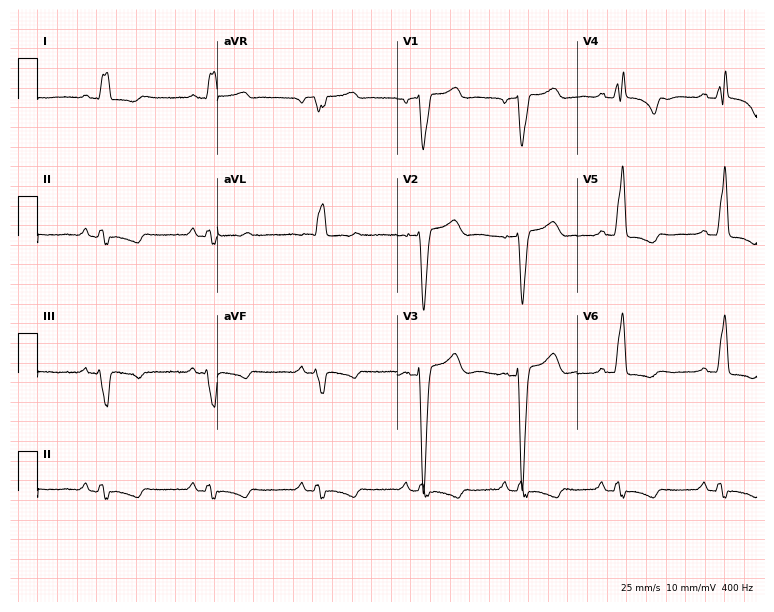
12-lead ECG (7.3-second recording at 400 Hz) from a female patient, 71 years old. Findings include left bundle branch block.